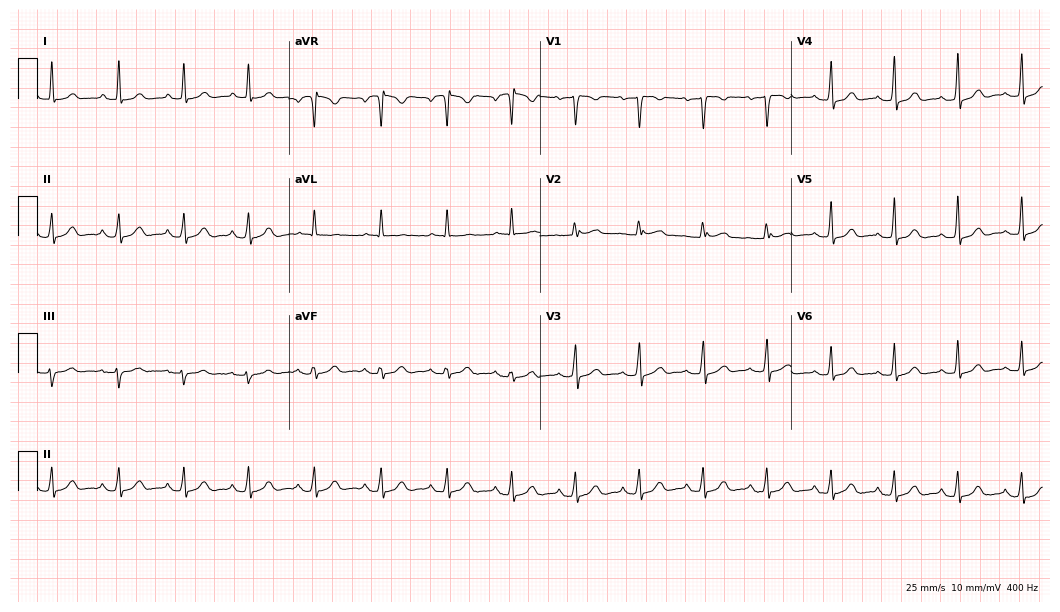
12-lead ECG (10.2-second recording at 400 Hz) from a female, 63 years old. Labelled as a normal ECG.